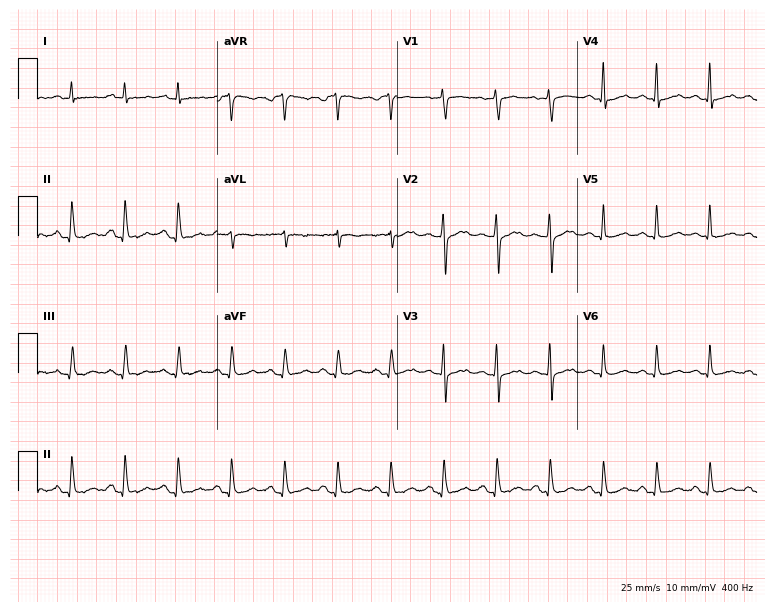
ECG — a male patient, 50 years old. Findings include sinus tachycardia (a sinus rate of 100 beats per minute or more).